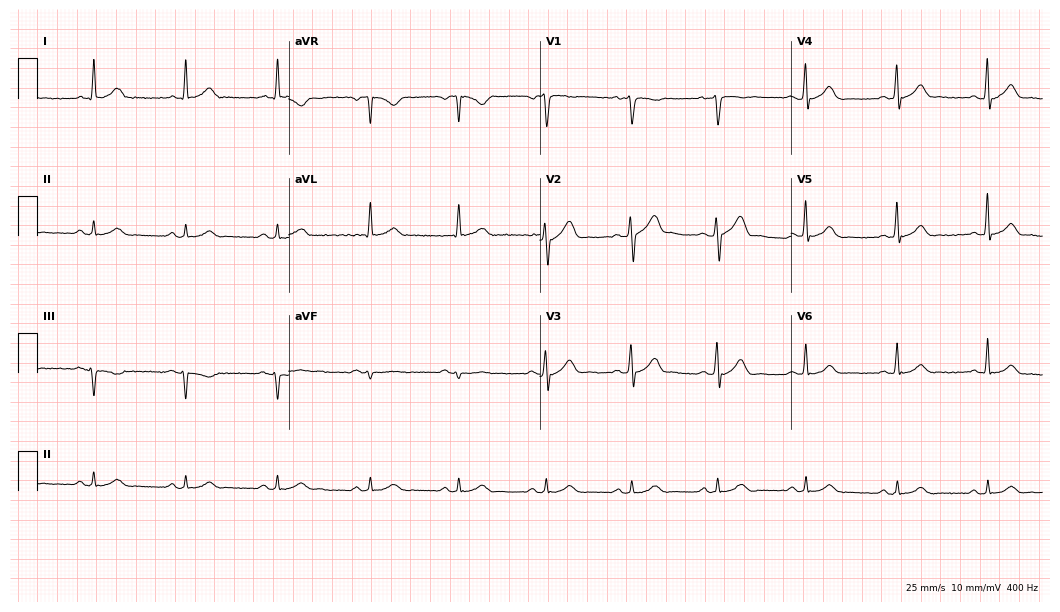
12-lead ECG from a 30-year-old male patient. Labelled as a normal ECG.